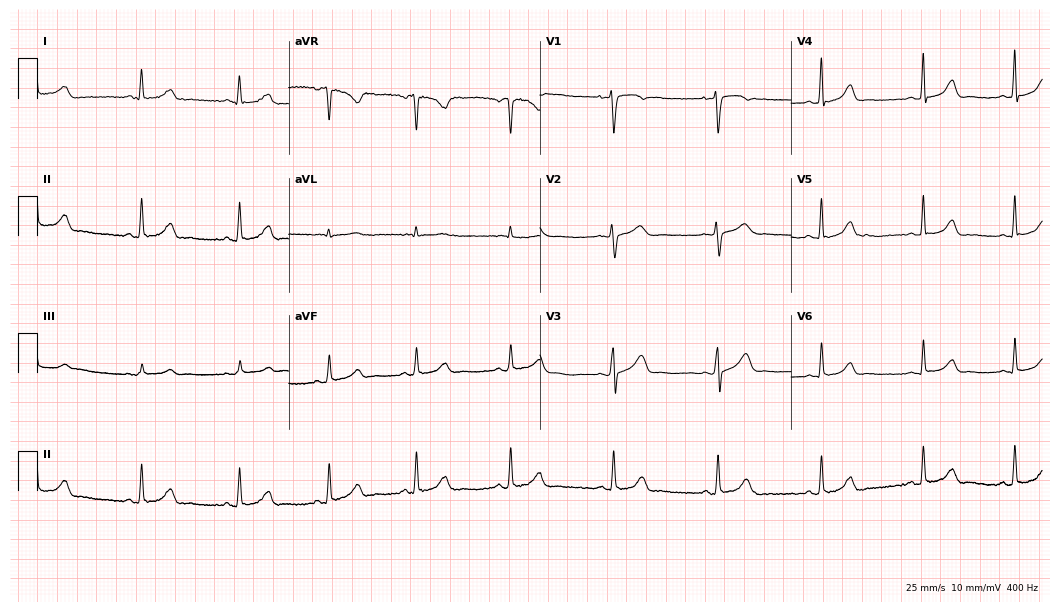
12-lead ECG from a female patient, 23 years old. Recorded interpretation: within normal limits.